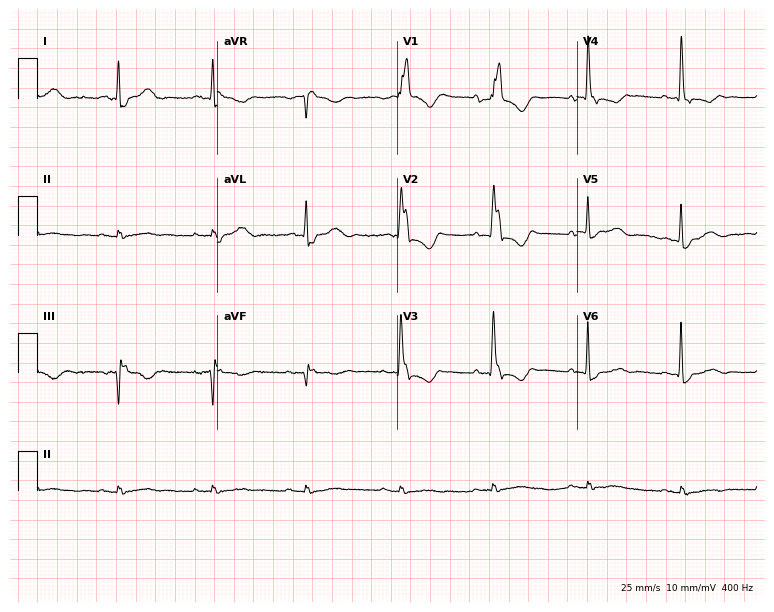
Electrocardiogram, a male, 82 years old. Interpretation includes right bundle branch block (RBBB).